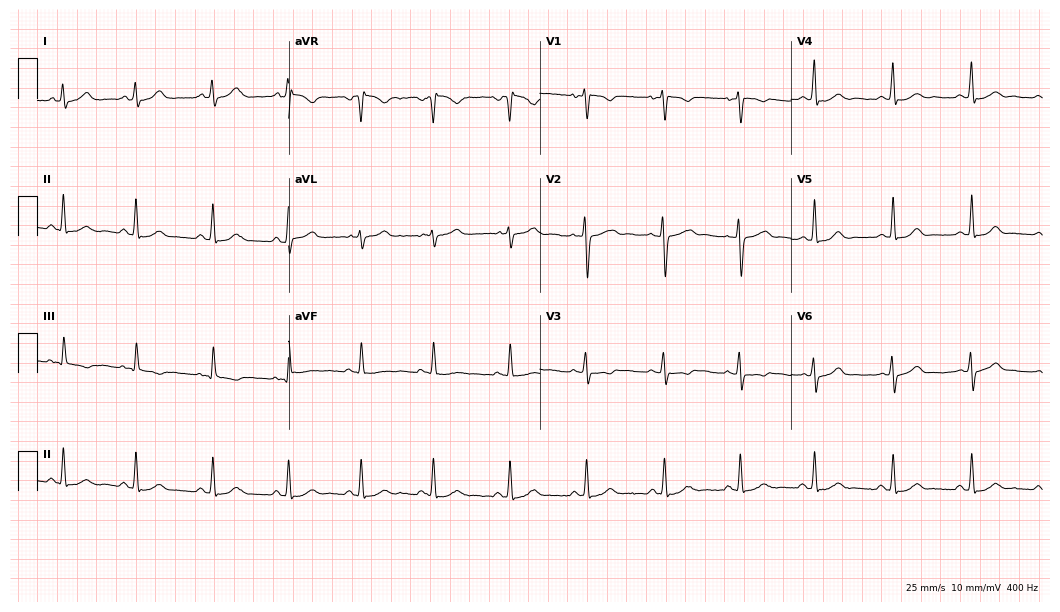
12-lead ECG from a woman, 17 years old (10.2-second recording at 400 Hz). Recorded interpretation: within normal limits.